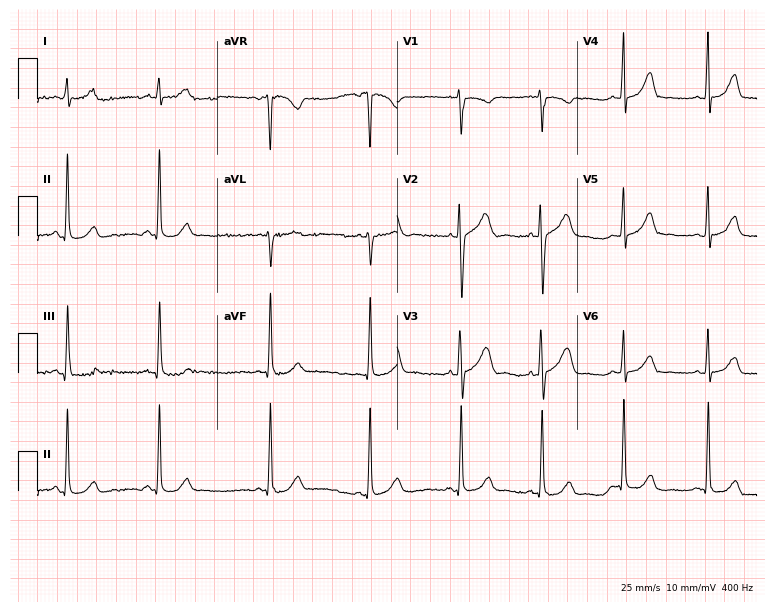
Resting 12-lead electrocardiogram. Patient: a 19-year-old female. Read as a normal ECG.